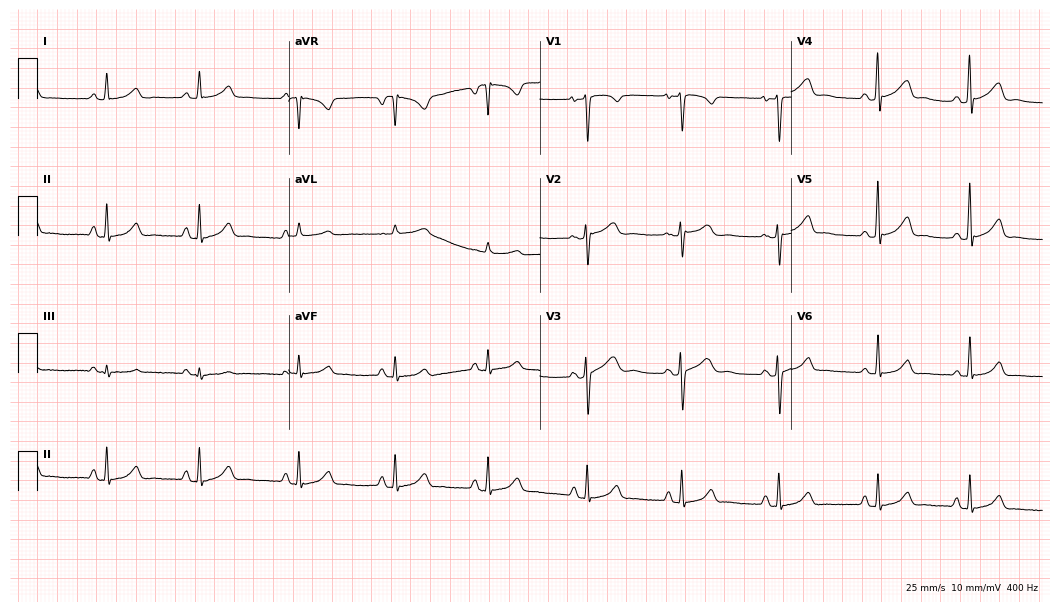
Electrocardiogram, a woman, 21 years old. Overall reading on record: normal ECG.